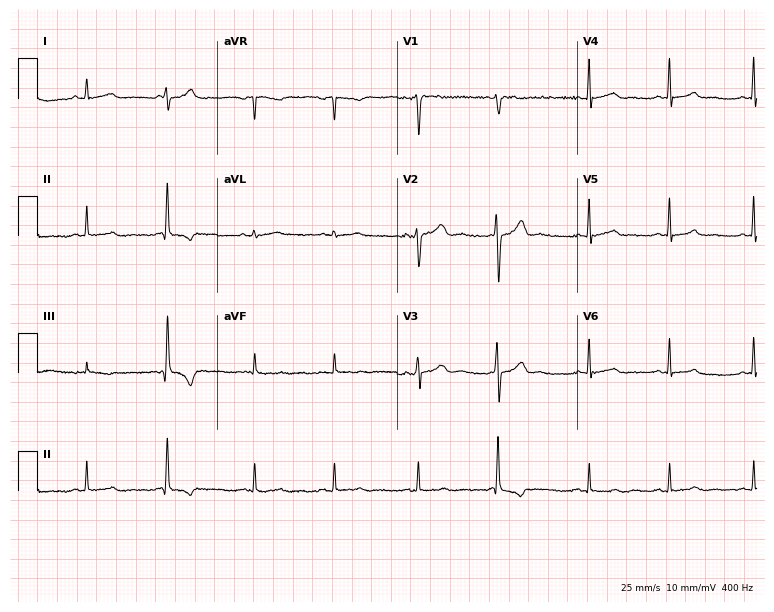
ECG (7.3-second recording at 400 Hz) — a woman, 34 years old. Screened for six findings — first-degree AV block, right bundle branch block, left bundle branch block, sinus bradycardia, atrial fibrillation, sinus tachycardia — none is recorded. Other findings, if any, are not listed.